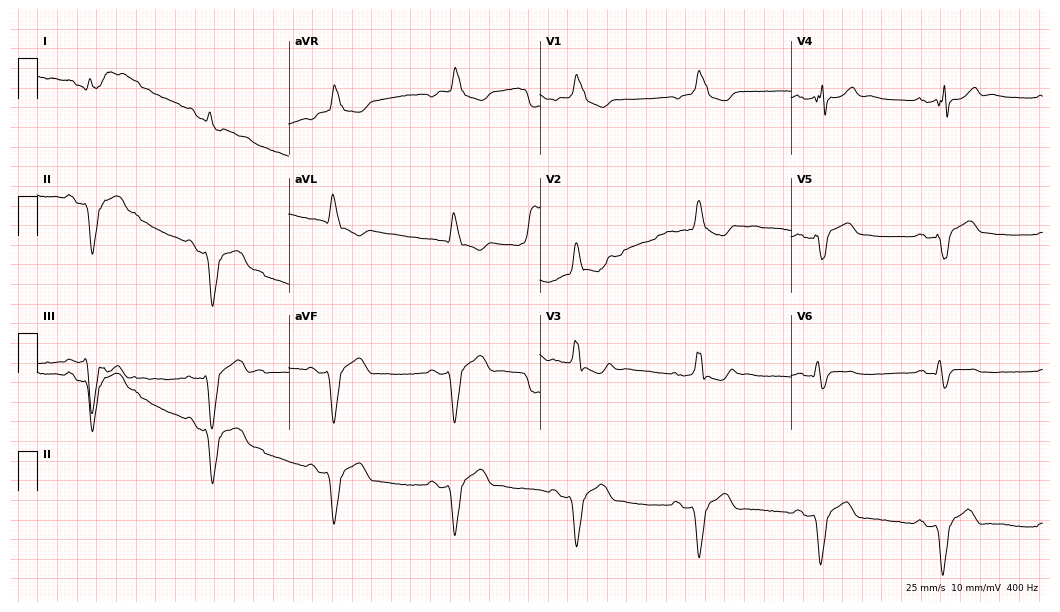
Standard 12-lead ECG recorded from a man, 77 years old (10.2-second recording at 400 Hz). None of these six findings is recorded: first-degree AV block, right bundle branch block, left bundle branch block, sinus bradycardia, atrial fibrillation, sinus tachycardia. Only these six findings were labelled.